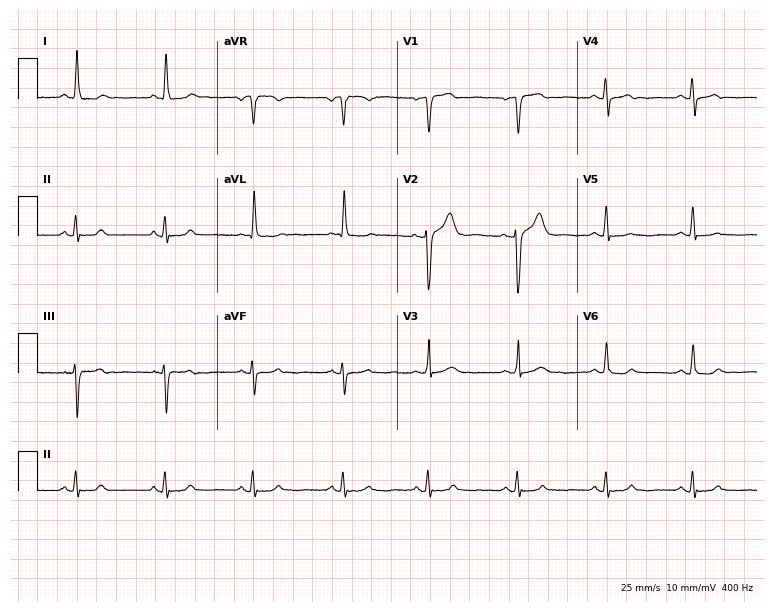
ECG — a female, 57 years old. Screened for six findings — first-degree AV block, right bundle branch block, left bundle branch block, sinus bradycardia, atrial fibrillation, sinus tachycardia — none is recorded.